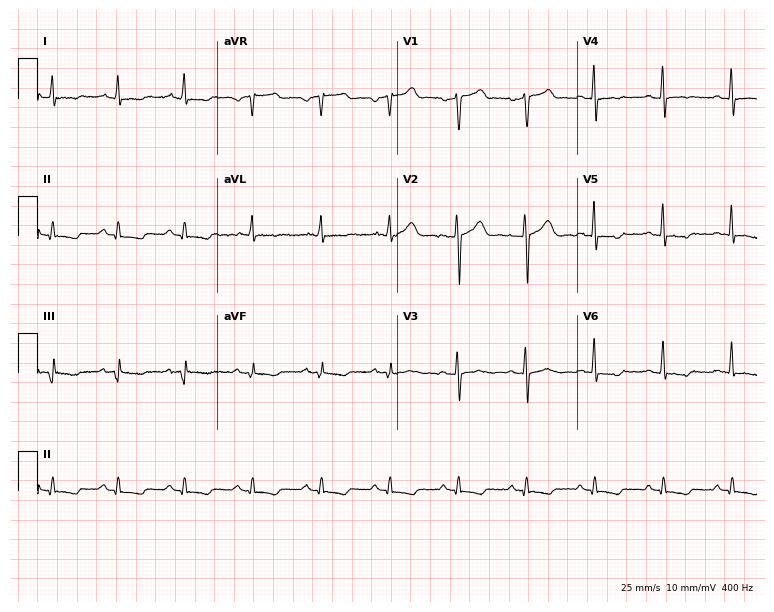
Standard 12-lead ECG recorded from a 58-year-old male. None of these six findings is recorded: first-degree AV block, right bundle branch block, left bundle branch block, sinus bradycardia, atrial fibrillation, sinus tachycardia. Only these six findings were labelled.